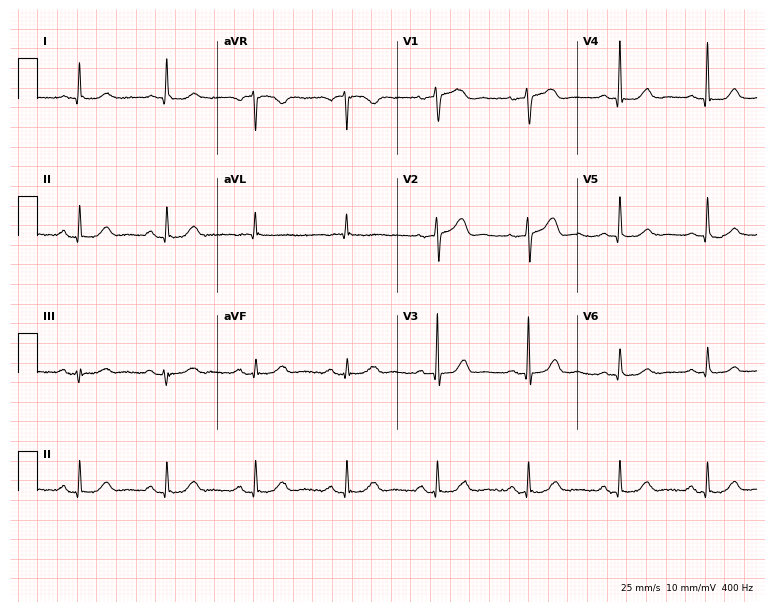
Resting 12-lead electrocardiogram. Patient: a 68-year-old woman. Read as a normal ECG.